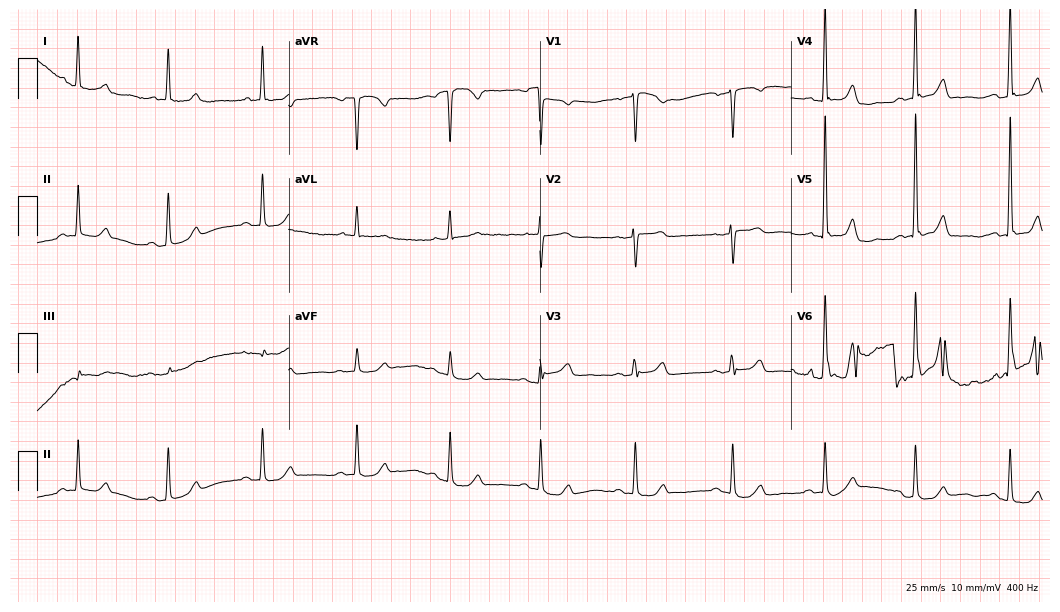
ECG (10.2-second recording at 400 Hz) — a female patient, 74 years old. Labelled as a normal ECG.